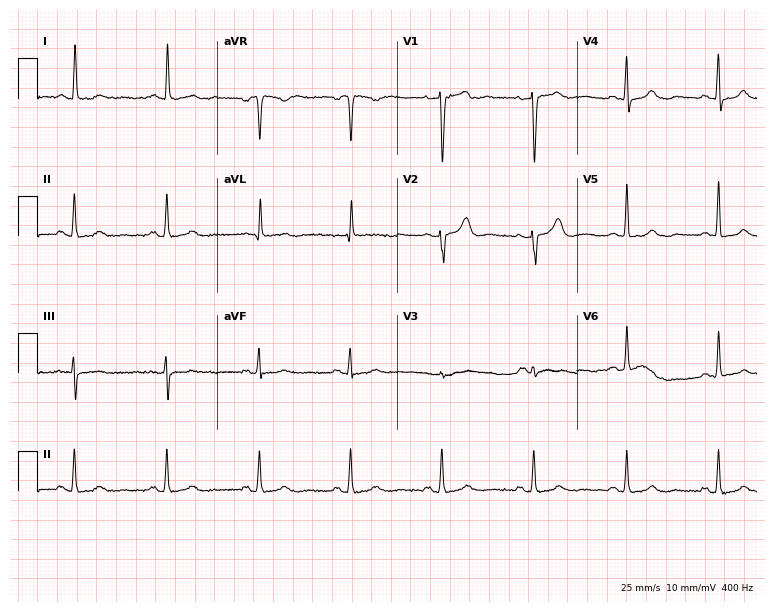
Resting 12-lead electrocardiogram (7.3-second recording at 400 Hz). Patient: a female, 79 years old. Read as a normal ECG.